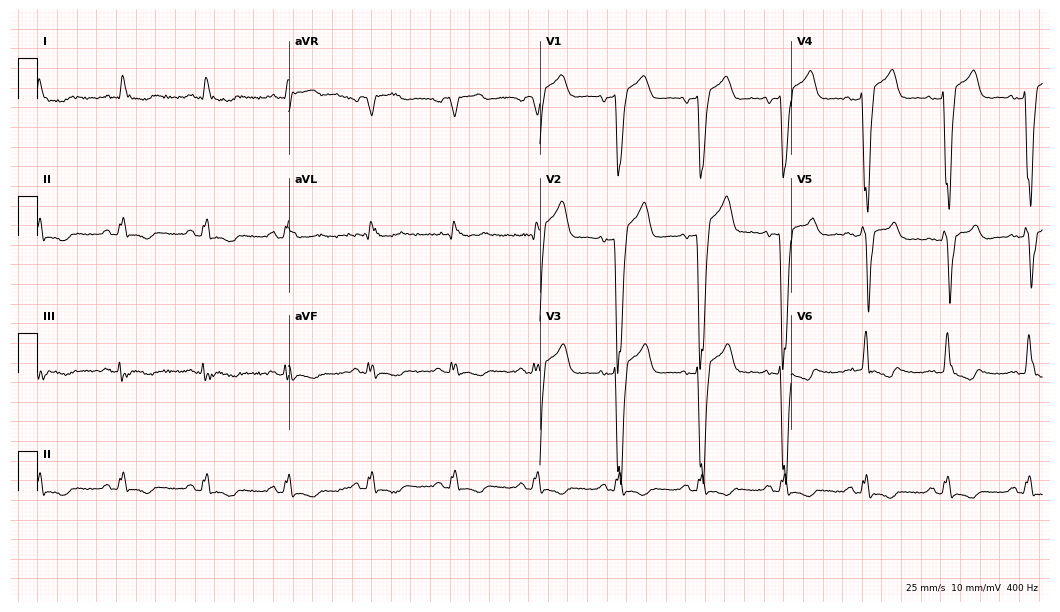
12-lead ECG from a man, 61 years old. Shows left bundle branch block.